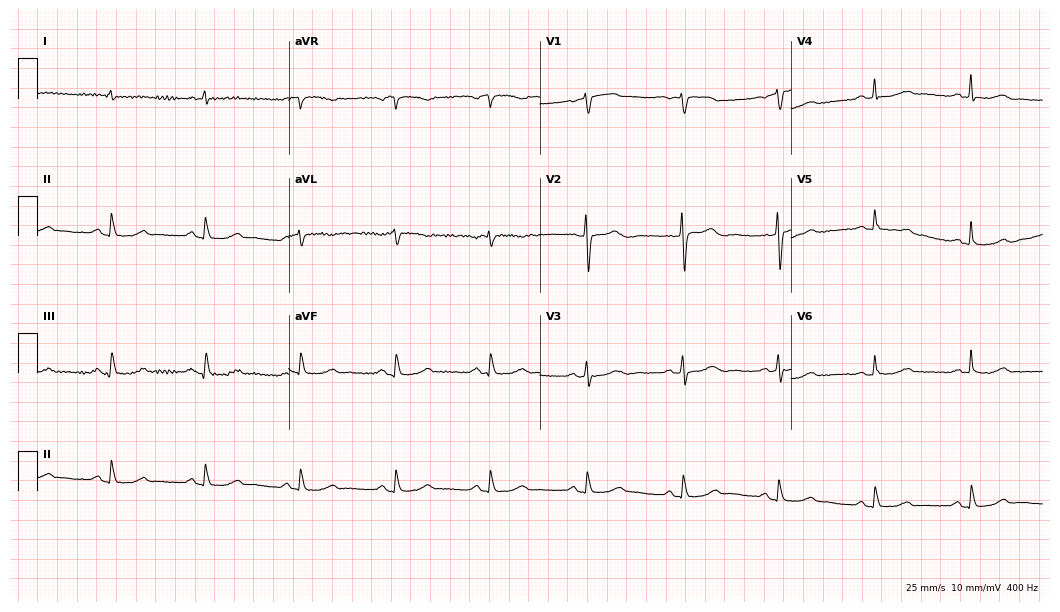
ECG — a 75-year-old man. Screened for six findings — first-degree AV block, right bundle branch block (RBBB), left bundle branch block (LBBB), sinus bradycardia, atrial fibrillation (AF), sinus tachycardia — none is recorded.